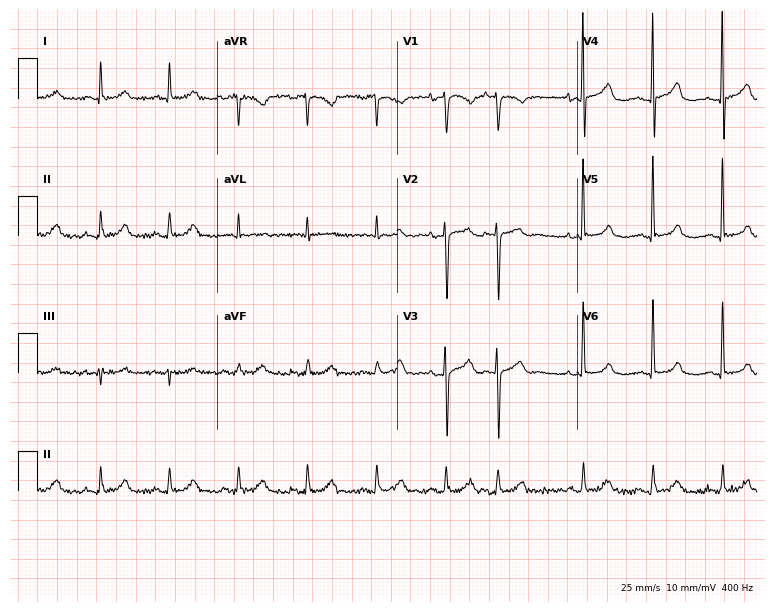
12-lead ECG (7.3-second recording at 400 Hz) from a female patient, 84 years old. Screened for six findings — first-degree AV block, right bundle branch block, left bundle branch block, sinus bradycardia, atrial fibrillation, sinus tachycardia — none is recorded. Other findings, if any, are not listed.